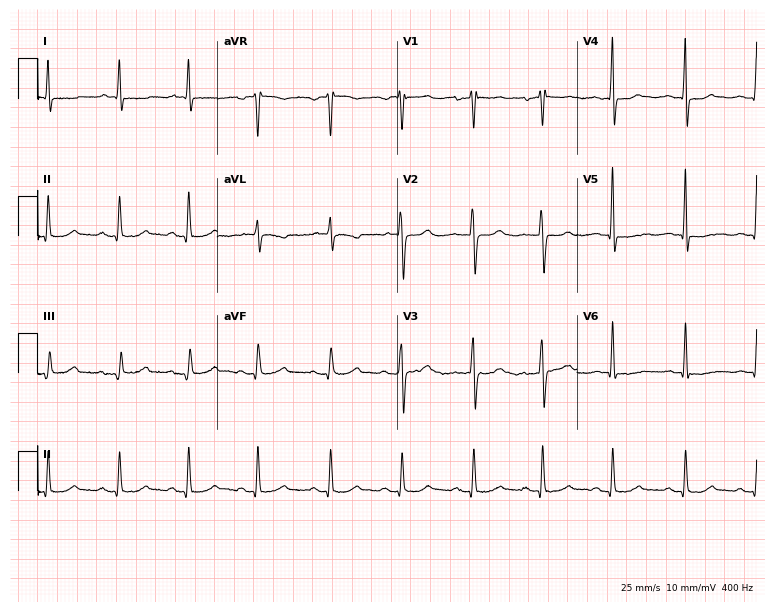
Standard 12-lead ECG recorded from a female patient, 65 years old. Read as a normal ECG.